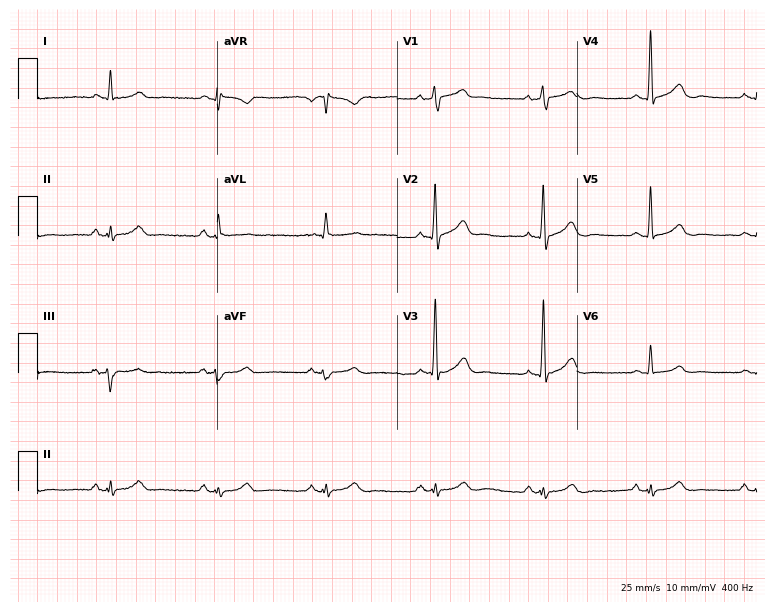
12-lead ECG (7.3-second recording at 400 Hz) from an 81-year-old male patient. Labelled as a normal ECG.